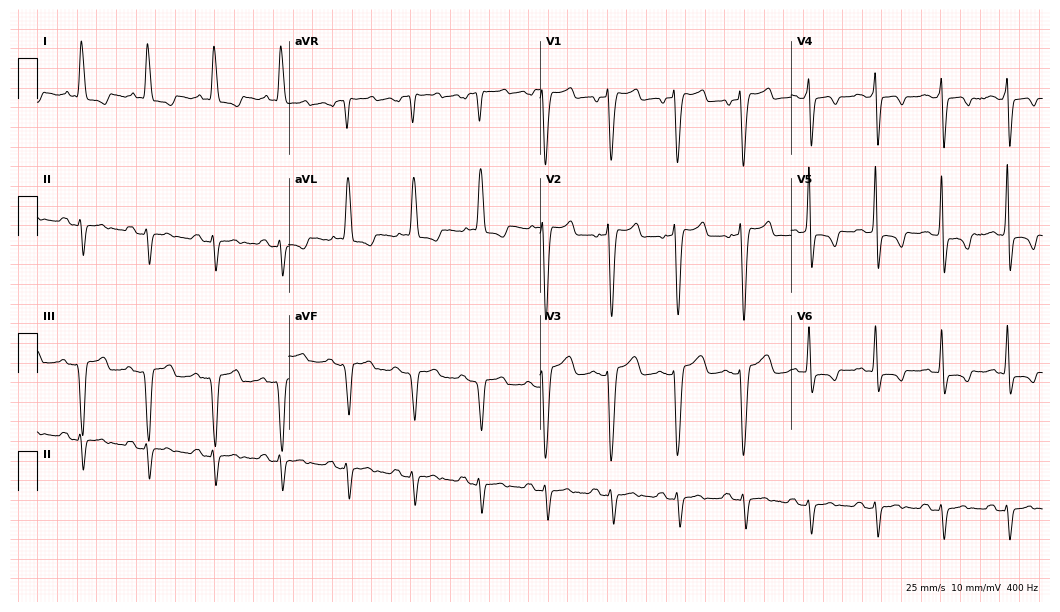
12-lead ECG (10.2-second recording at 400 Hz) from a 73-year-old female patient. Screened for six findings — first-degree AV block, right bundle branch block, left bundle branch block, sinus bradycardia, atrial fibrillation, sinus tachycardia — none is recorded.